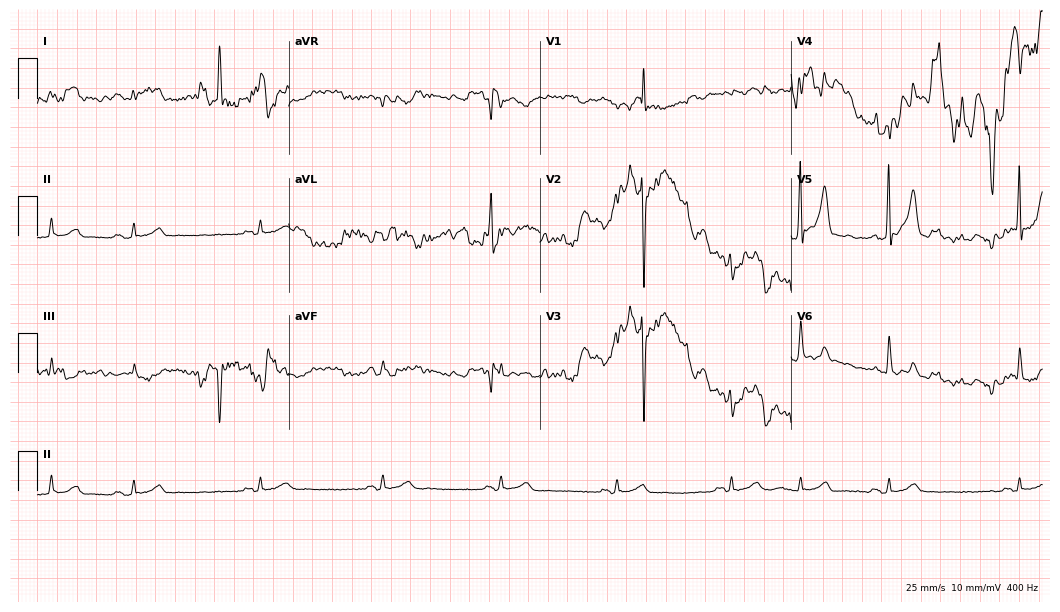
12-lead ECG (10.2-second recording at 400 Hz) from a male patient, 62 years old. Screened for six findings — first-degree AV block, right bundle branch block, left bundle branch block, sinus bradycardia, atrial fibrillation, sinus tachycardia — none is recorded. Only these six findings were labelled.